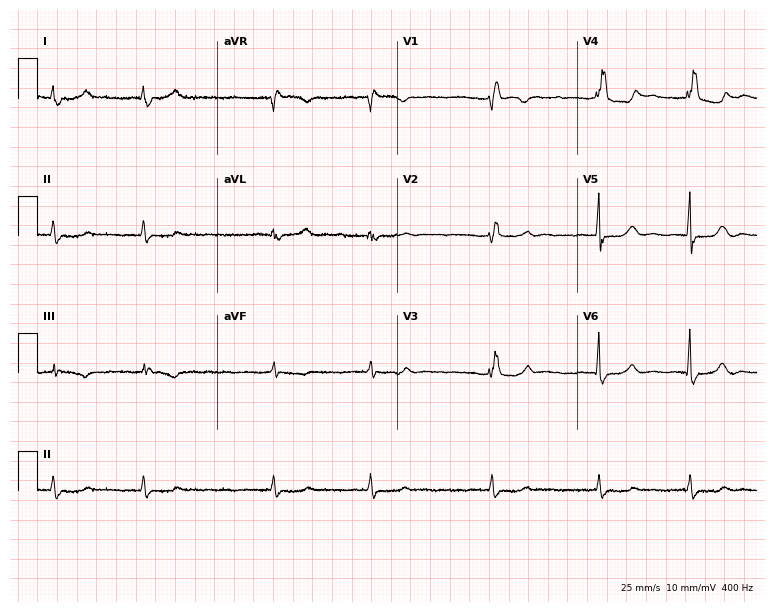
Standard 12-lead ECG recorded from a 72-year-old female. None of these six findings is recorded: first-degree AV block, right bundle branch block, left bundle branch block, sinus bradycardia, atrial fibrillation, sinus tachycardia. Only these six findings were labelled.